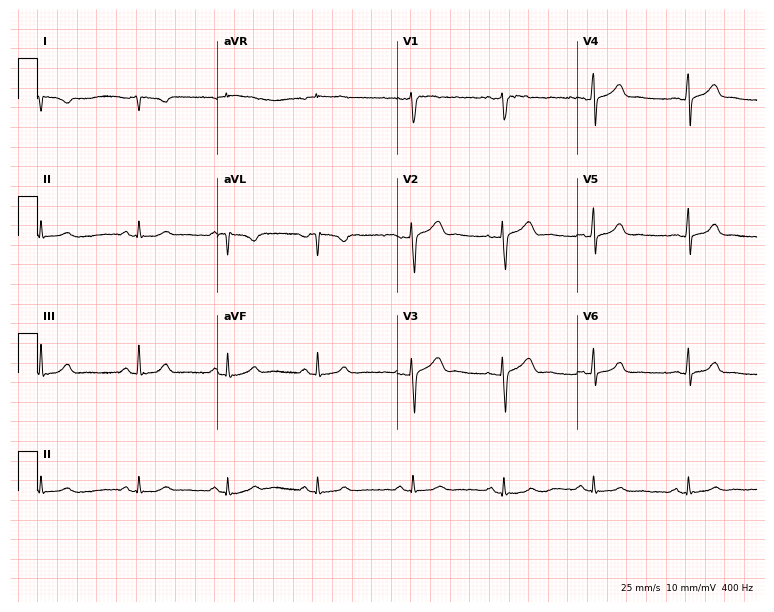
Resting 12-lead electrocardiogram. Patient: a 22-year-old woman. None of these six findings is recorded: first-degree AV block, right bundle branch block (RBBB), left bundle branch block (LBBB), sinus bradycardia, atrial fibrillation (AF), sinus tachycardia.